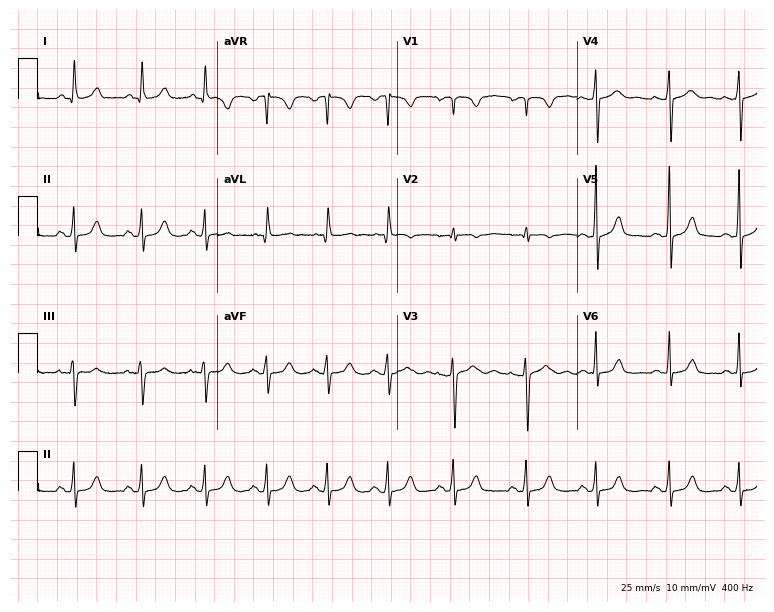
12-lead ECG from a female patient, 21 years old. Recorded interpretation: within normal limits.